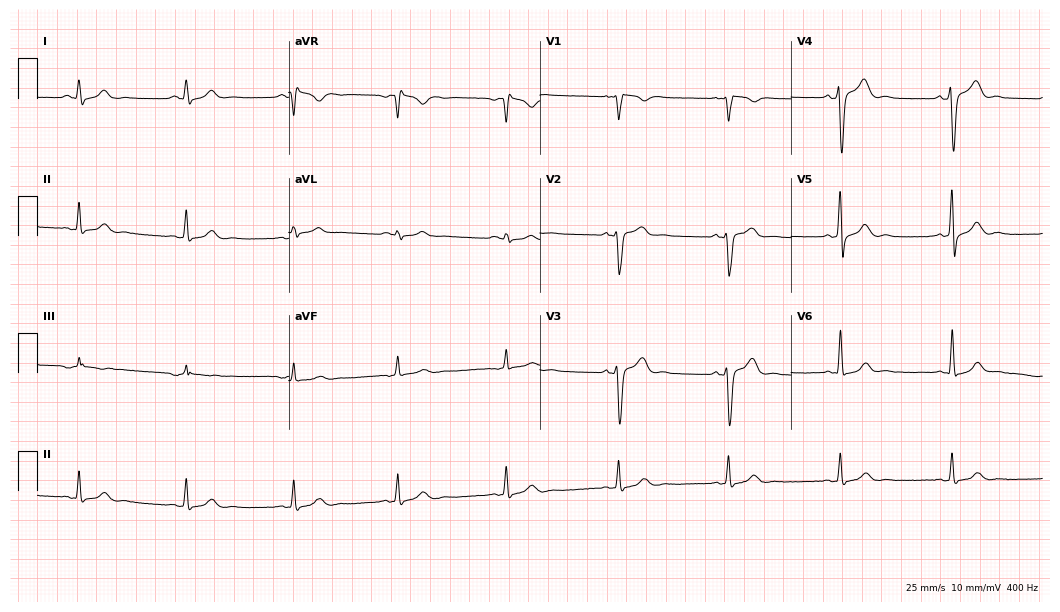
12-lead ECG from a 35-year-old male patient. Screened for six findings — first-degree AV block, right bundle branch block (RBBB), left bundle branch block (LBBB), sinus bradycardia, atrial fibrillation (AF), sinus tachycardia — none is recorded.